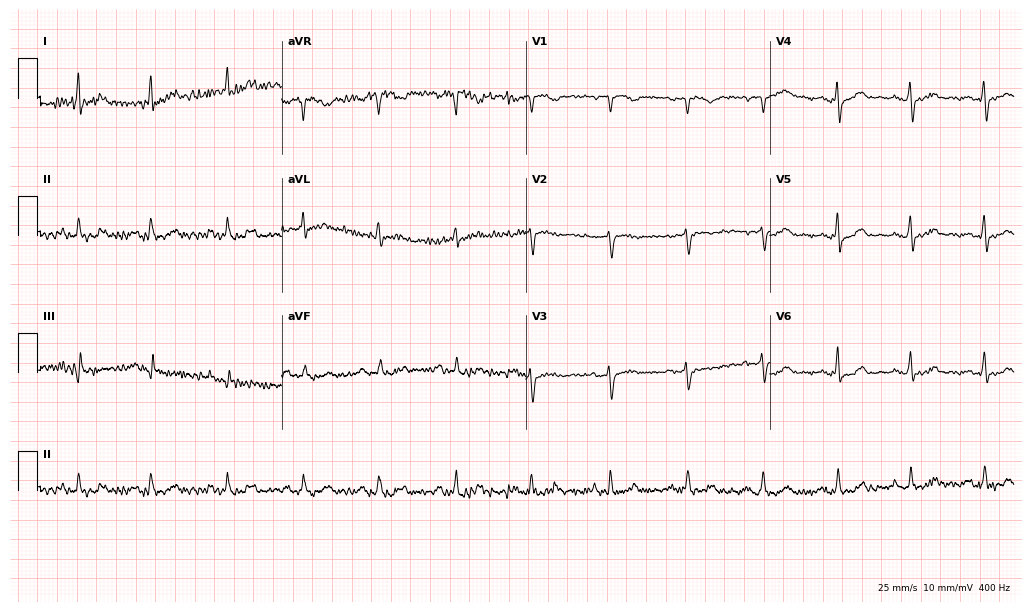
ECG — a 67-year-old female. Screened for six findings — first-degree AV block, right bundle branch block (RBBB), left bundle branch block (LBBB), sinus bradycardia, atrial fibrillation (AF), sinus tachycardia — none is recorded. Other findings, if any, are not listed.